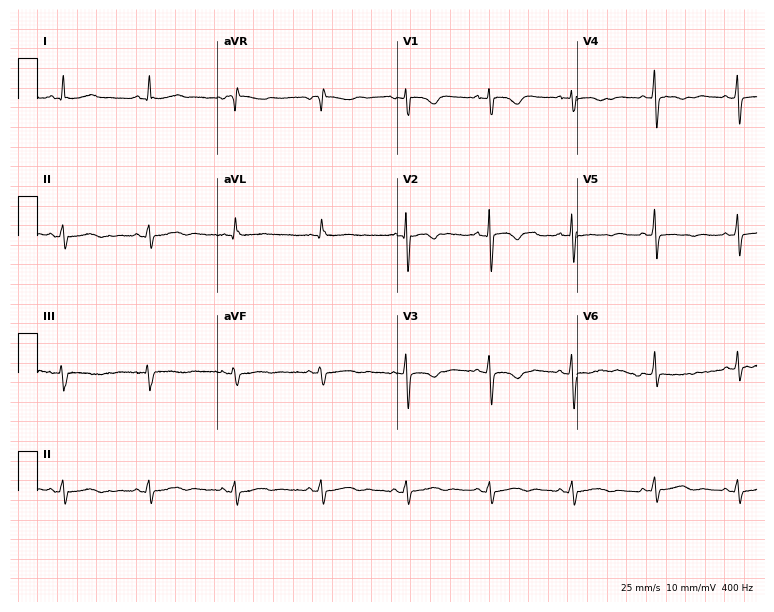
12-lead ECG from a 35-year-old woman. No first-degree AV block, right bundle branch block, left bundle branch block, sinus bradycardia, atrial fibrillation or sinus tachycardia recorded for this tracing.